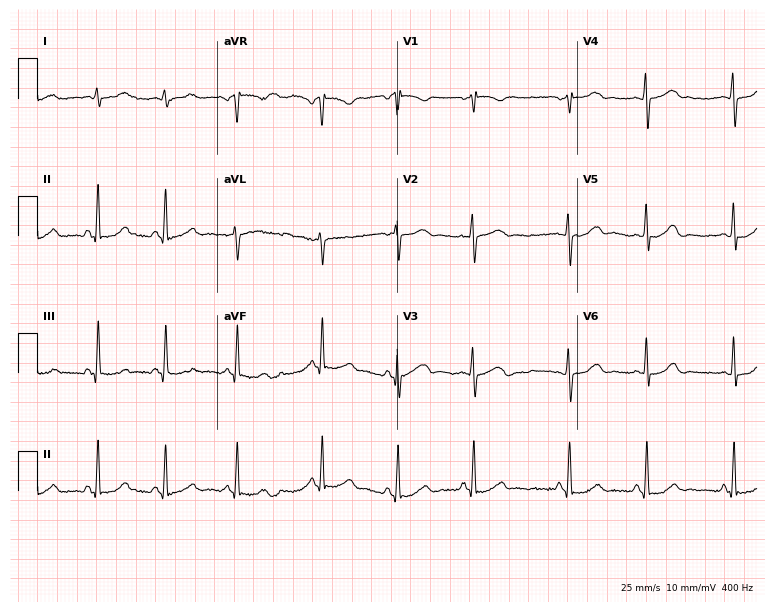
Standard 12-lead ECG recorded from a 24-year-old woman (7.3-second recording at 400 Hz). Read as a normal ECG.